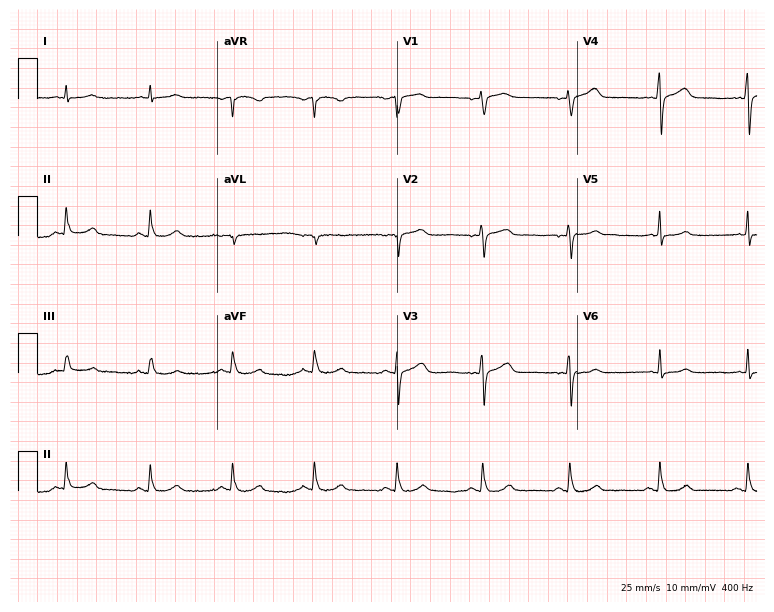
12-lead ECG from a 58-year-old male patient (7.3-second recording at 400 Hz). No first-degree AV block, right bundle branch block (RBBB), left bundle branch block (LBBB), sinus bradycardia, atrial fibrillation (AF) or sinus tachycardia recorded for this tracing.